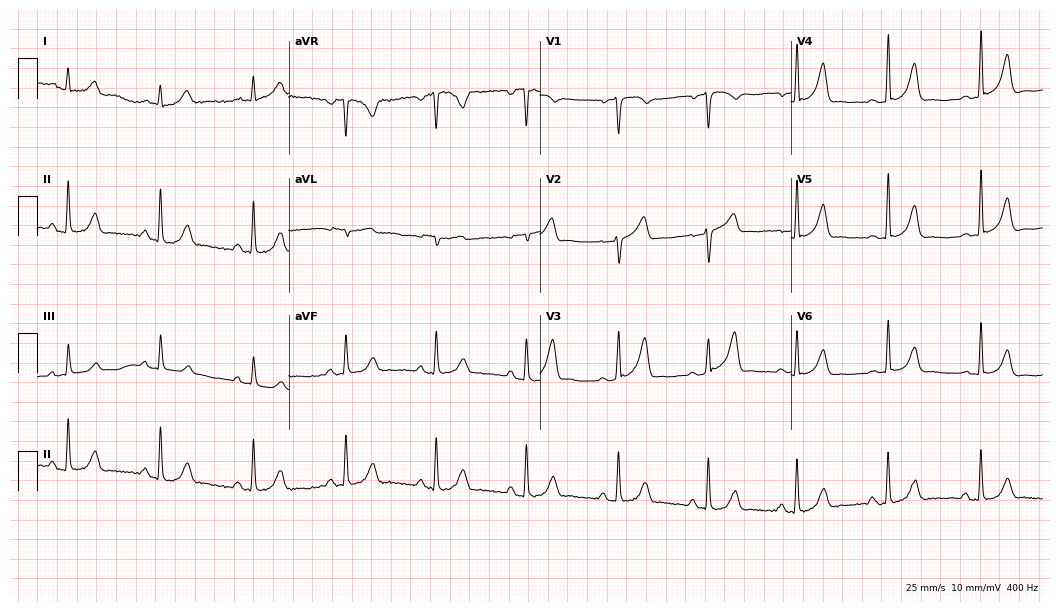
12-lead ECG from a man, 68 years old (10.2-second recording at 400 Hz). No first-degree AV block, right bundle branch block, left bundle branch block, sinus bradycardia, atrial fibrillation or sinus tachycardia recorded for this tracing.